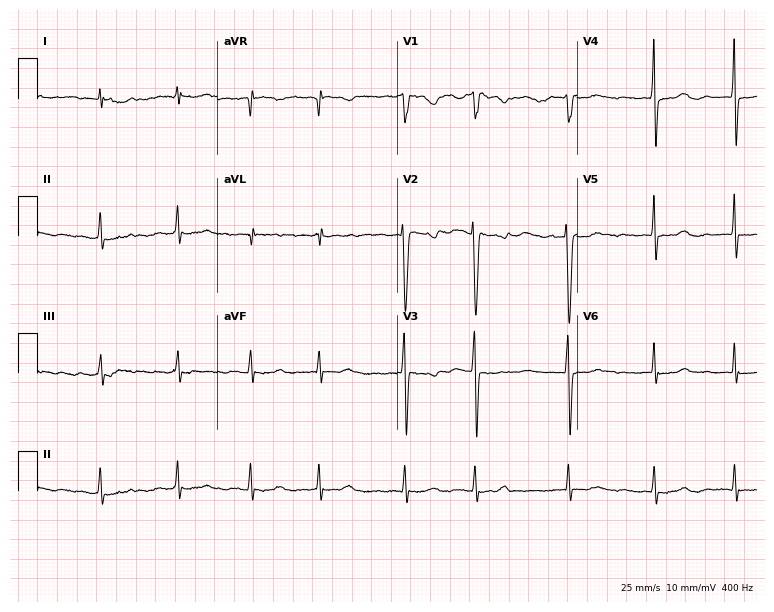
12-lead ECG from a female patient, 50 years old. Shows atrial fibrillation.